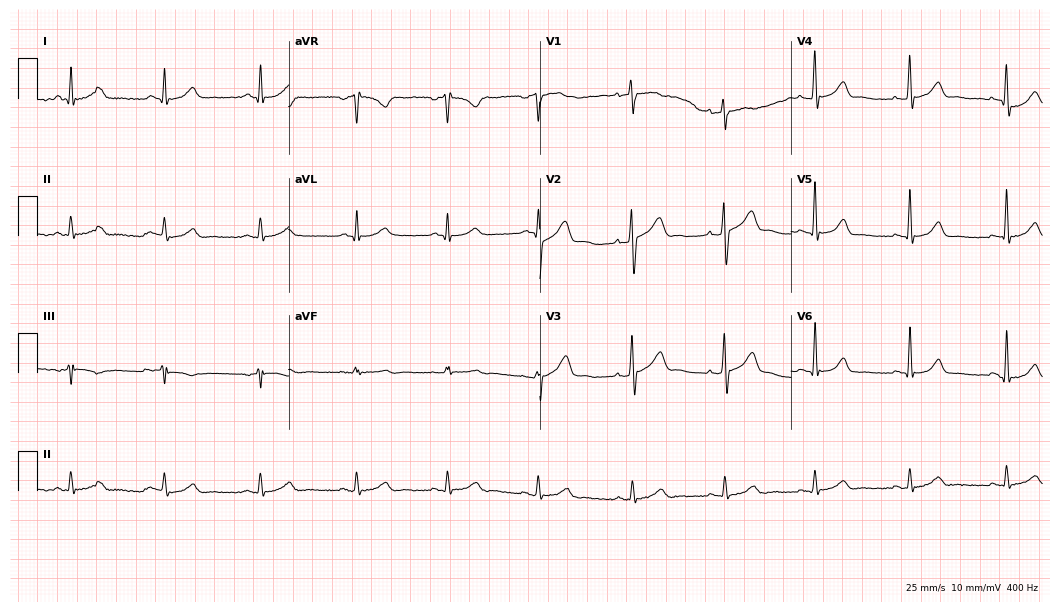
ECG — a male, 45 years old. Screened for six findings — first-degree AV block, right bundle branch block, left bundle branch block, sinus bradycardia, atrial fibrillation, sinus tachycardia — none is recorded.